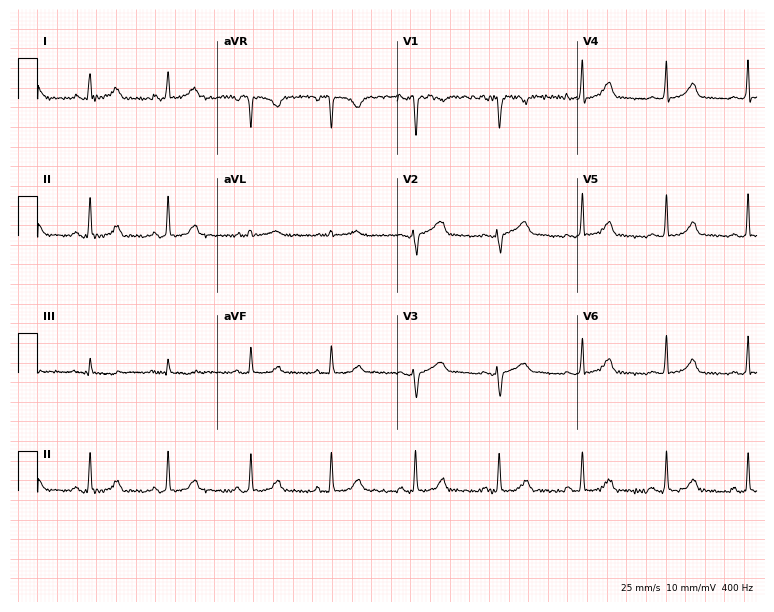
ECG — a 33-year-old woman. Labelled as a normal ECG.